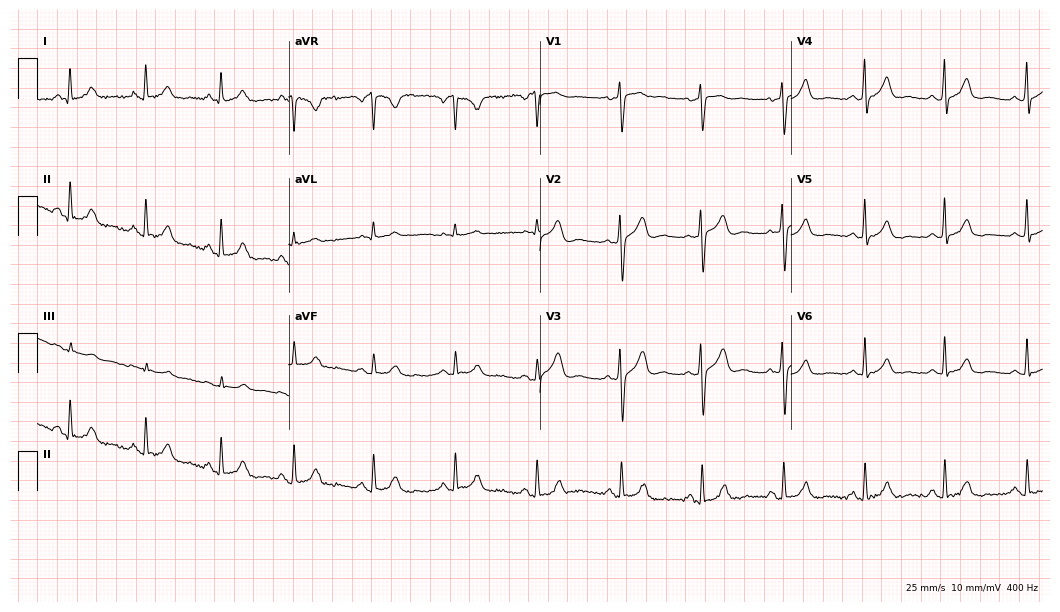
ECG — a woman, 27 years old. Labelled as a normal ECG.